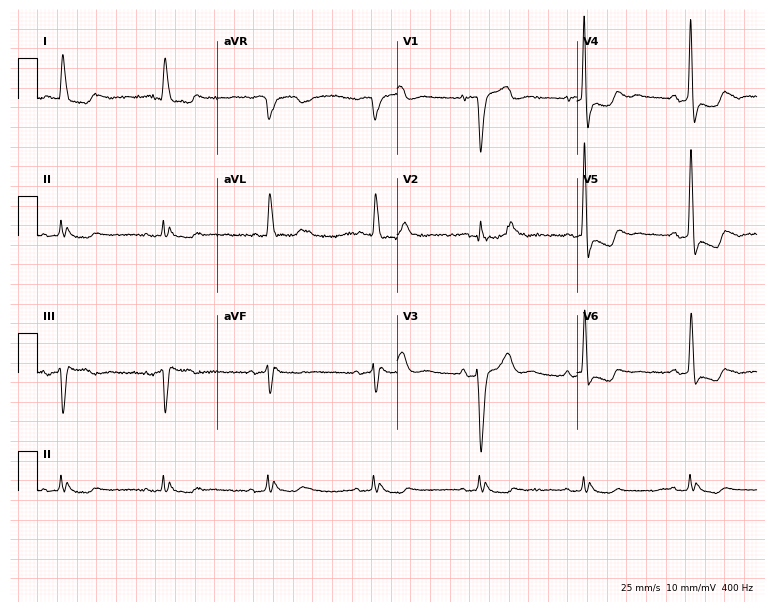
Resting 12-lead electrocardiogram. Patient: a 77-year-old woman. The tracing shows right bundle branch block (RBBB).